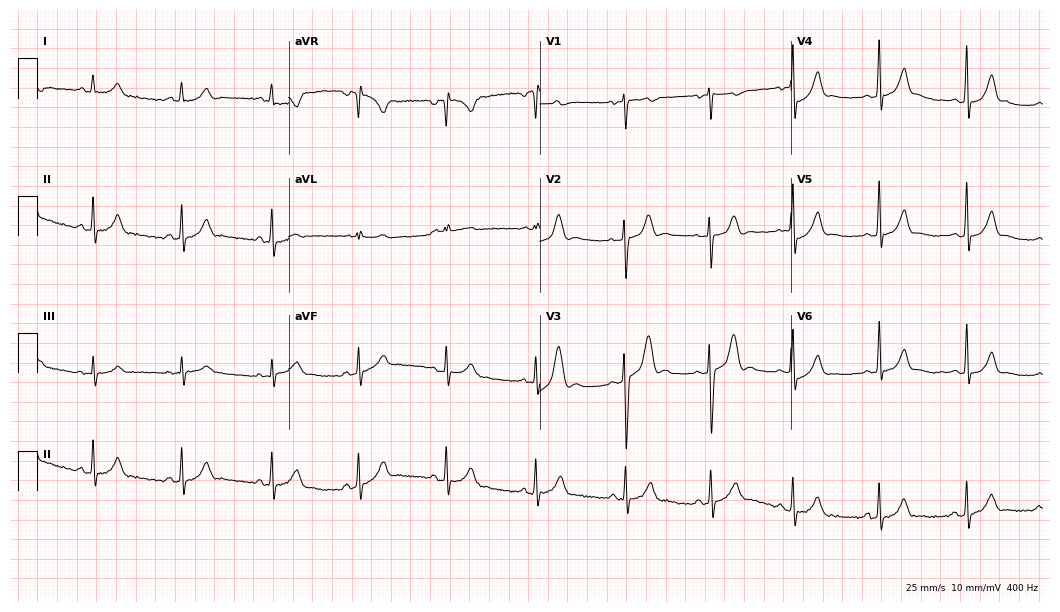
Electrocardiogram, a 17-year-old male patient. Overall reading on record: normal ECG.